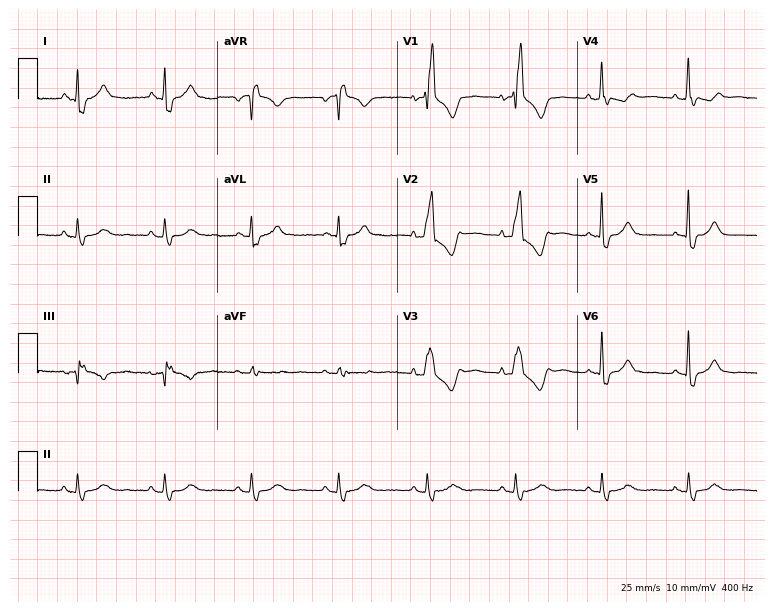
Electrocardiogram (7.3-second recording at 400 Hz), a woman, 59 years old. Interpretation includes right bundle branch block.